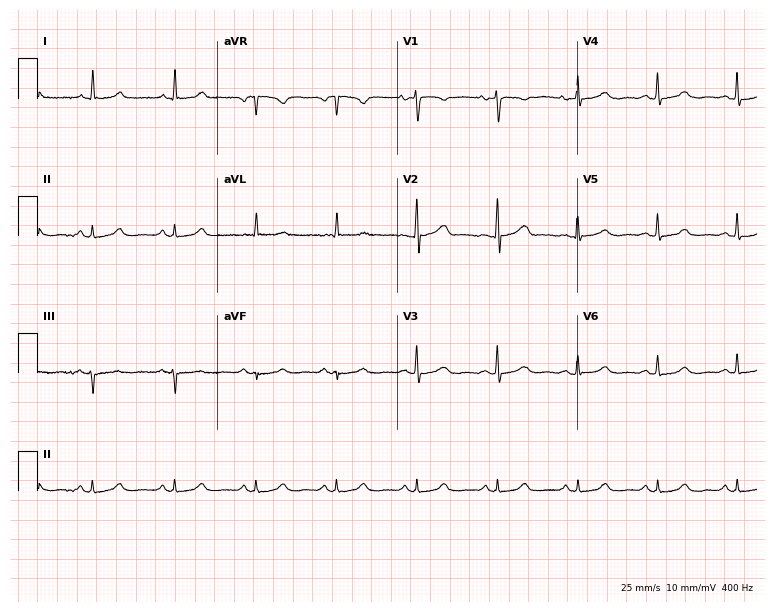
Electrocardiogram (7.3-second recording at 400 Hz), a 51-year-old female. Overall reading on record: normal ECG.